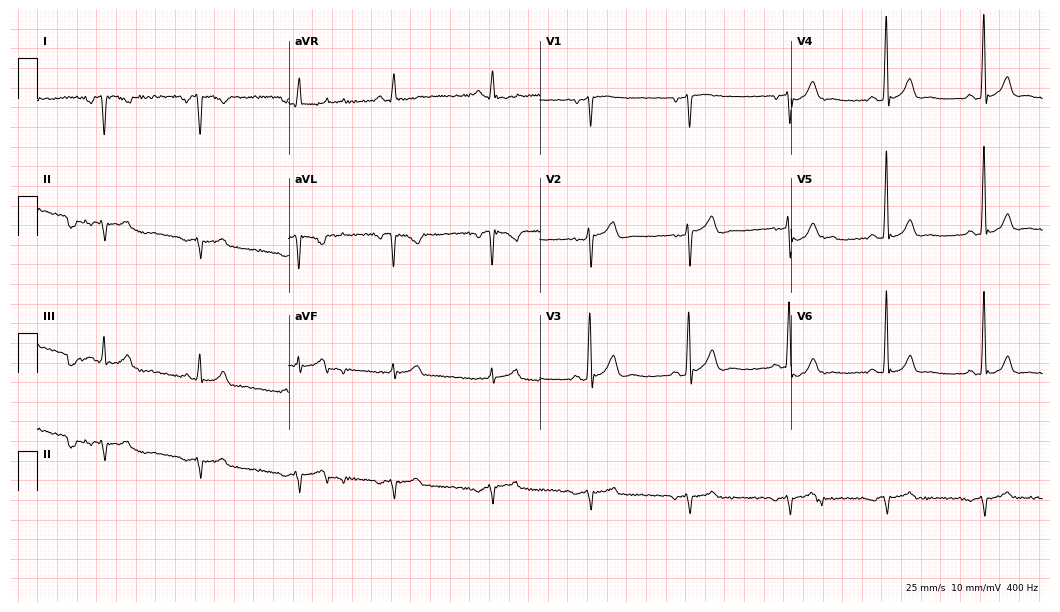
12-lead ECG from a 45-year-old man. No first-degree AV block, right bundle branch block, left bundle branch block, sinus bradycardia, atrial fibrillation or sinus tachycardia recorded for this tracing. Only these six findings were labelled.